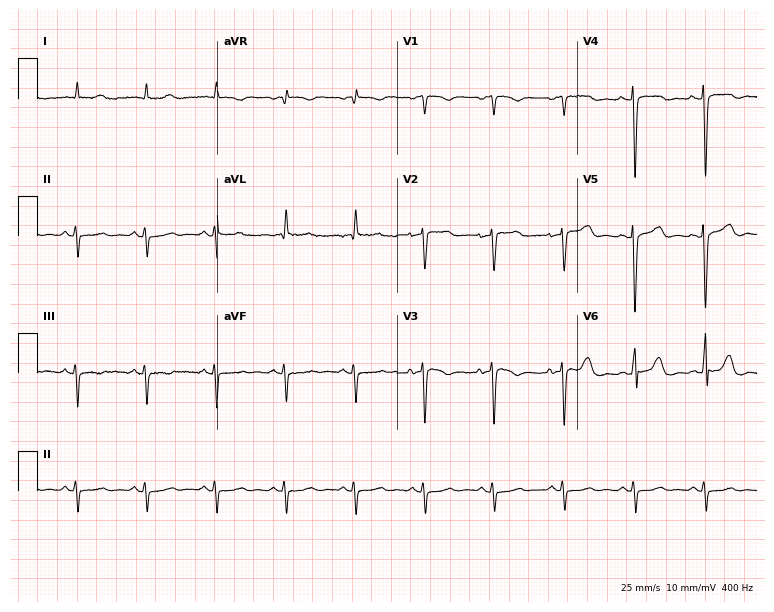
12-lead ECG from a female patient, 78 years old. Screened for six findings — first-degree AV block, right bundle branch block, left bundle branch block, sinus bradycardia, atrial fibrillation, sinus tachycardia — none is recorded.